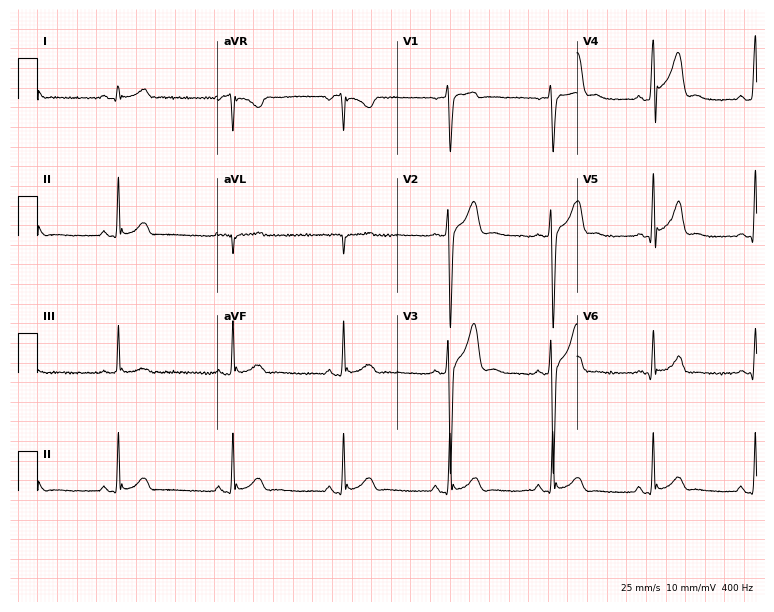
Electrocardiogram (7.3-second recording at 400 Hz), a 34-year-old male. Overall reading on record: normal ECG.